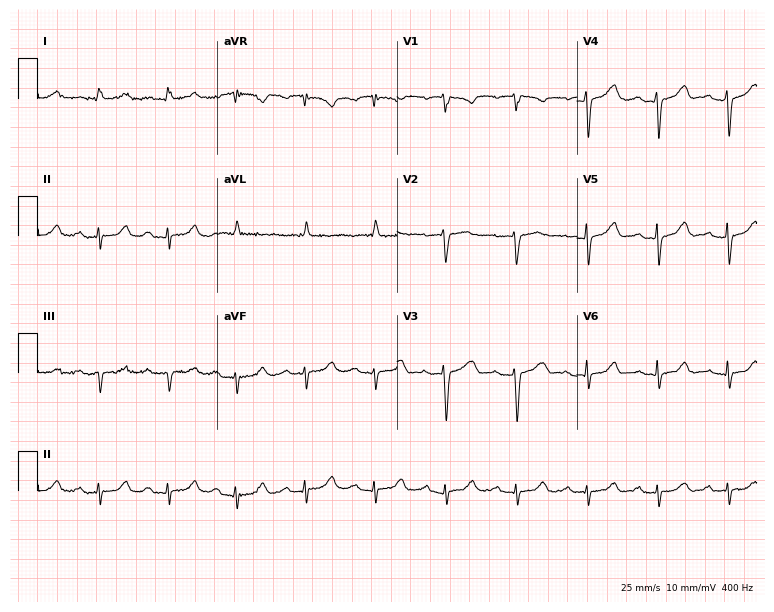
ECG (7.3-second recording at 400 Hz) — a 77-year-old female. Findings include first-degree AV block.